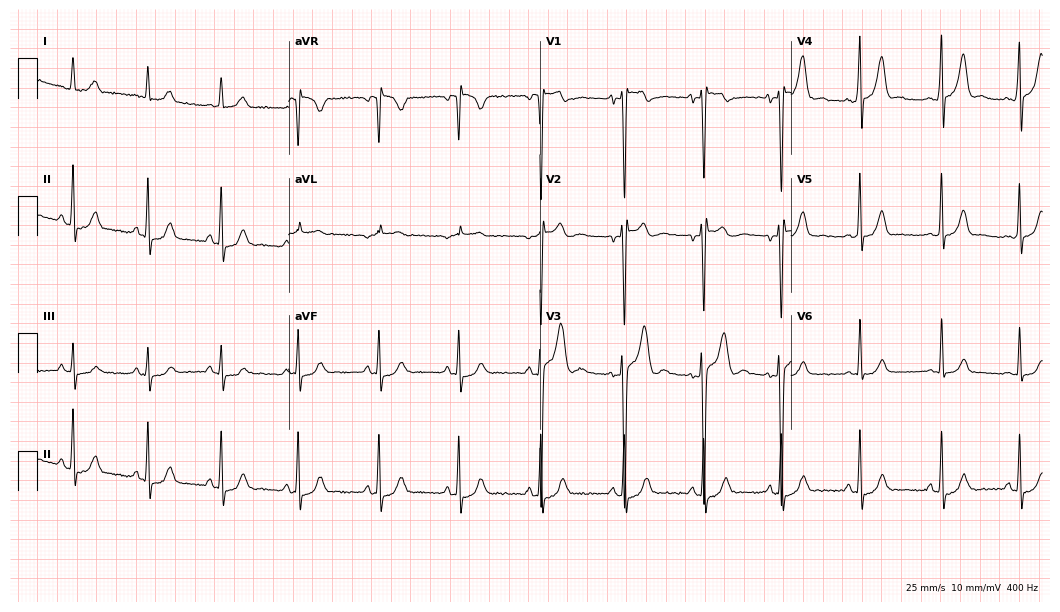
12-lead ECG (10.2-second recording at 400 Hz) from an 18-year-old male. Labelled as a normal ECG.